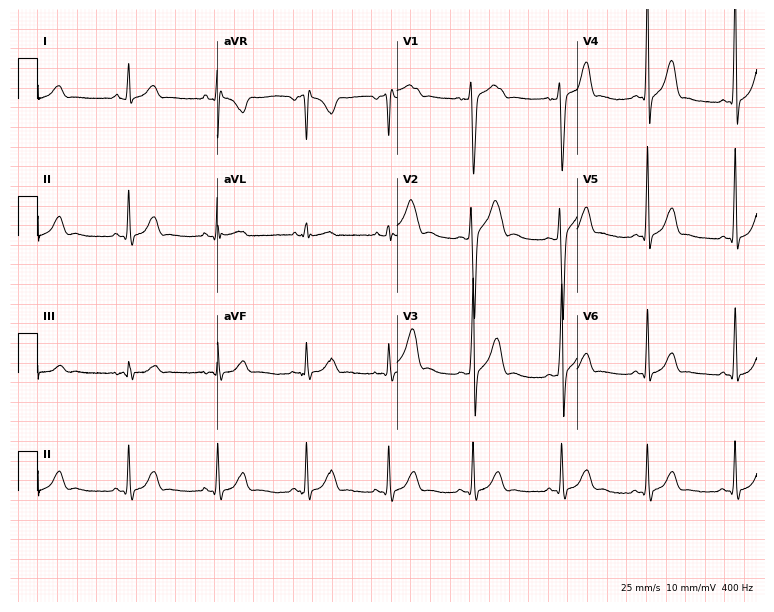
ECG (7.3-second recording at 400 Hz) — a 17-year-old male. Labelled as a normal ECG.